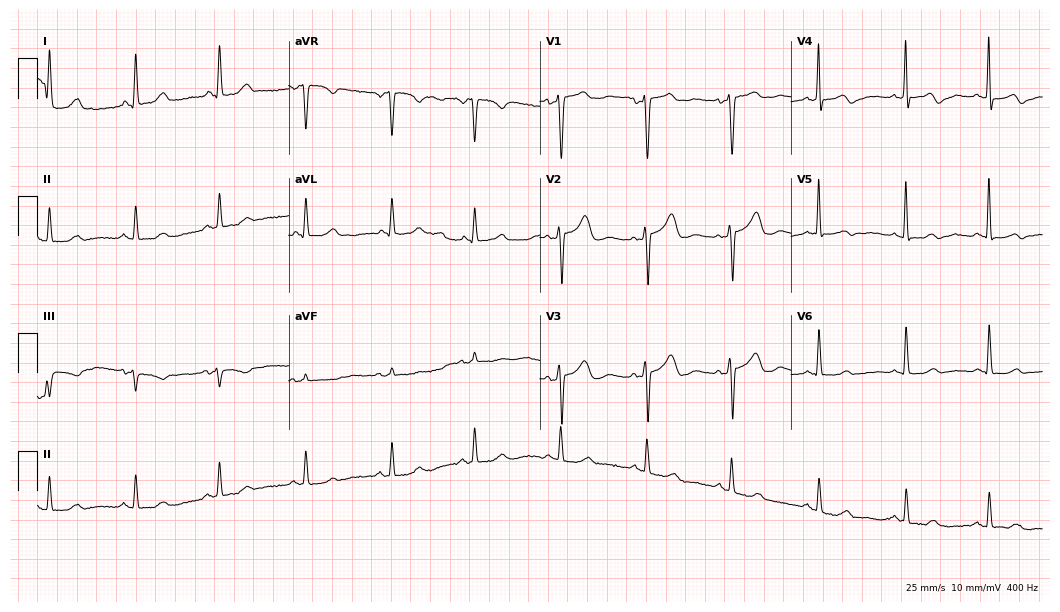
12-lead ECG from a woman, 47 years old (10.2-second recording at 400 Hz). Recorded interpretation: within normal limits.